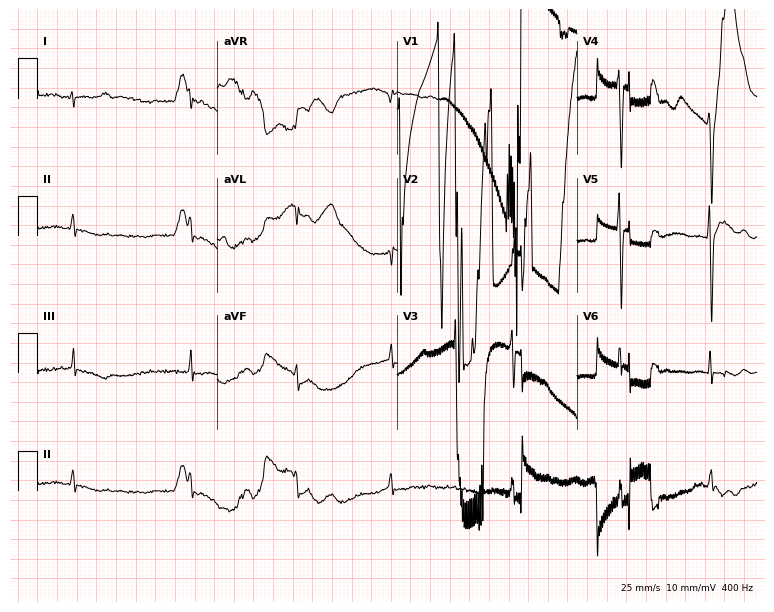
Electrocardiogram (7.3-second recording at 400 Hz), a female, 84 years old. Of the six screened findings (first-degree AV block, right bundle branch block, left bundle branch block, sinus bradycardia, atrial fibrillation, sinus tachycardia), none is recorded.